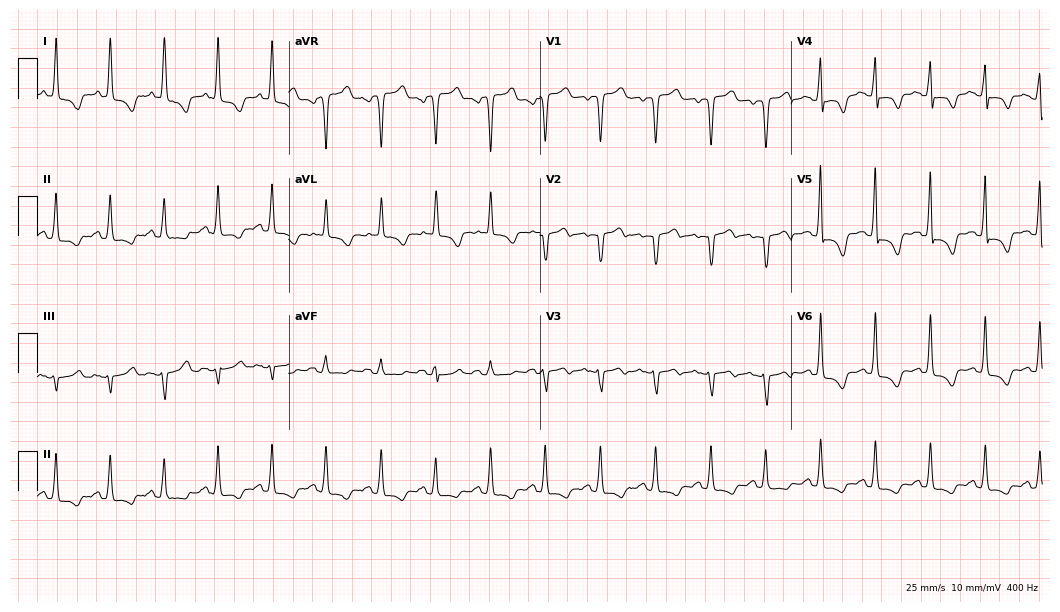
12-lead ECG from a 75-year-old man. Findings include sinus tachycardia (a sinus rate of 100 beats per minute or more).